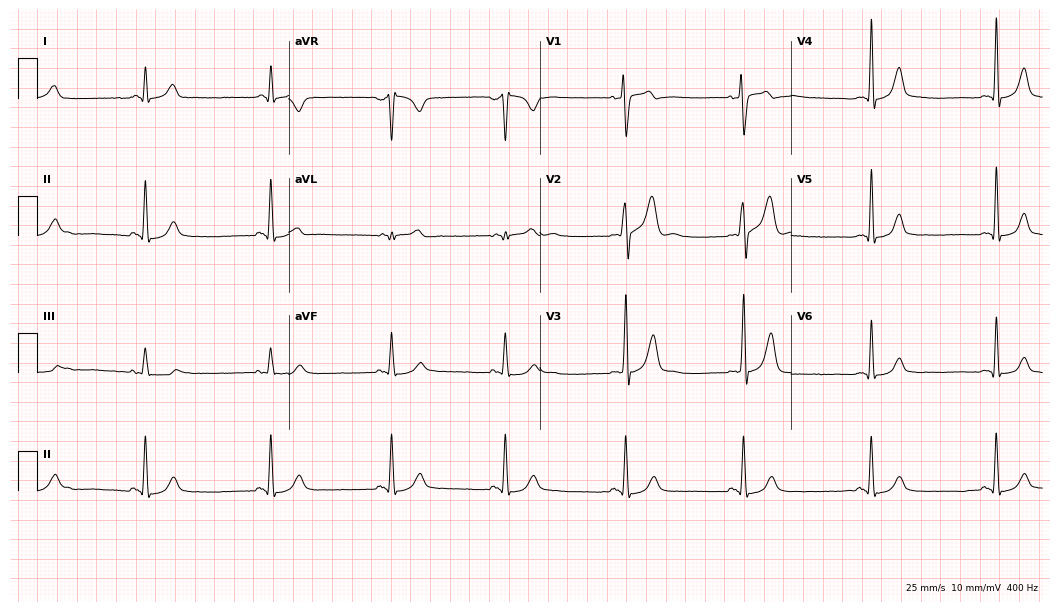
12-lead ECG from a 32-year-old male patient. No first-degree AV block, right bundle branch block, left bundle branch block, sinus bradycardia, atrial fibrillation or sinus tachycardia recorded for this tracing.